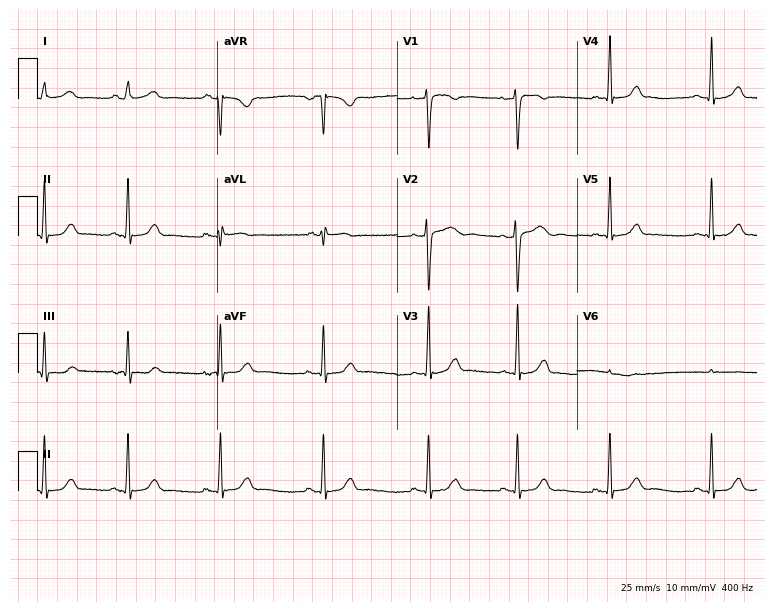
12-lead ECG (7.3-second recording at 400 Hz) from a female, 27 years old. Screened for six findings — first-degree AV block, right bundle branch block, left bundle branch block, sinus bradycardia, atrial fibrillation, sinus tachycardia — none is recorded. Other findings, if any, are not listed.